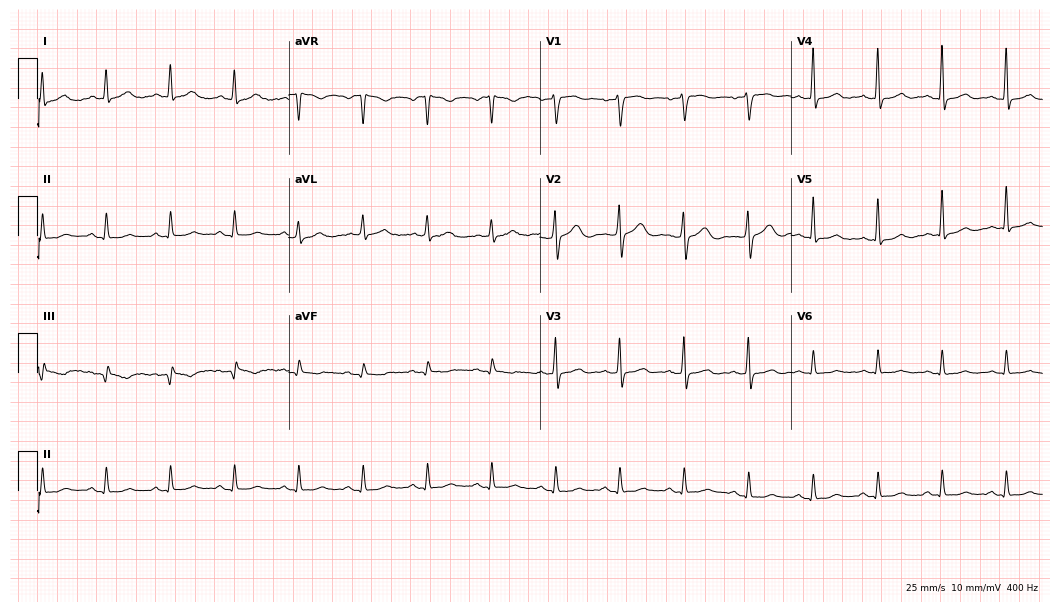
ECG — a male patient, 55 years old. Labelled as a normal ECG.